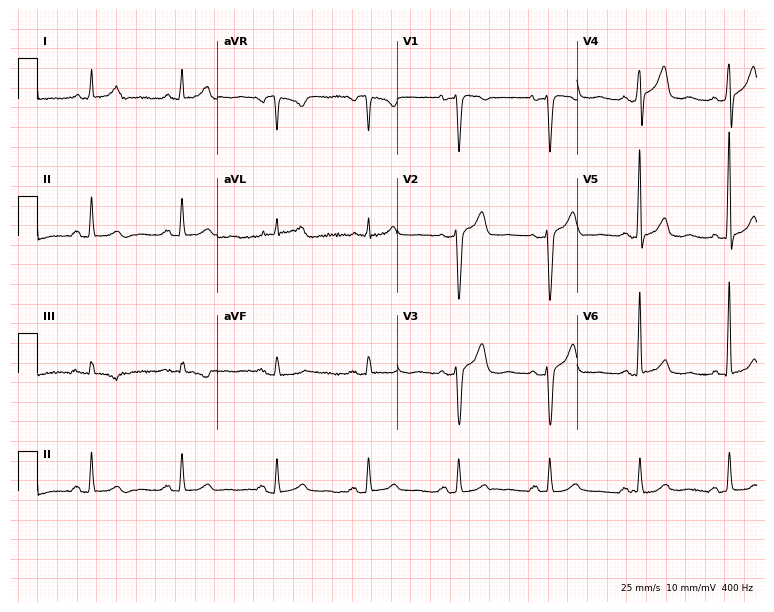
12-lead ECG from a female patient, 50 years old. No first-degree AV block, right bundle branch block (RBBB), left bundle branch block (LBBB), sinus bradycardia, atrial fibrillation (AF) or sinus tachycardia recorded for this tracing. Other findings, if any, are not listed.